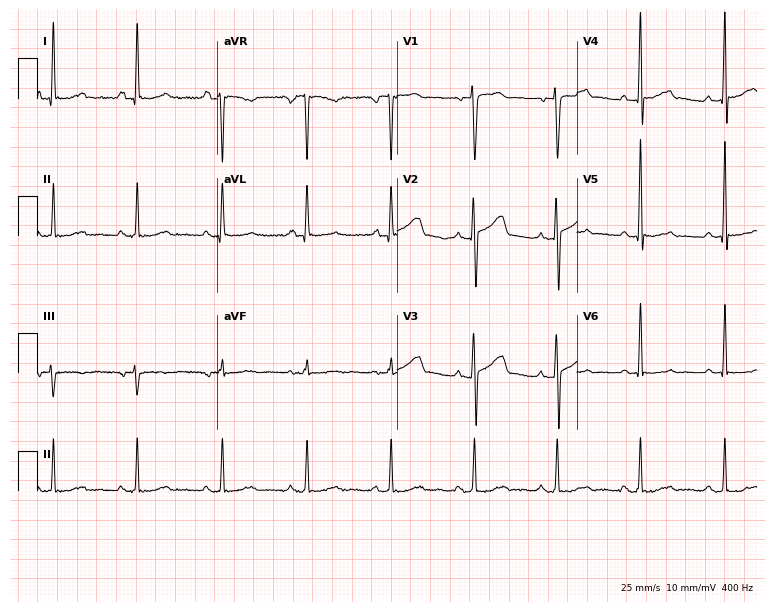
12-lead ECG from a 32-year-old man. Screened for six findings — first-degree AV block, right bundle branch block (RBBB), left bundle branch block (LBBB), sinus bradycardia, atrial fibrillation (AF), sinus tachycardia — none is recorded. Other findings, if any, are not listed.